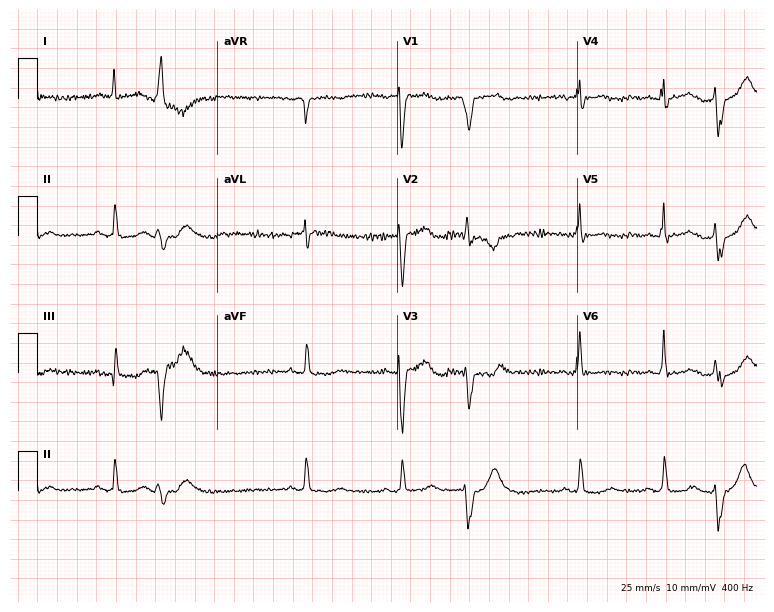
ECG — a female, 82 years old. Screened for six findings — first-degree AV block, right bundle branch block, left bundle branch block, sinus bradycardia, atrial fibrillation, sinus tachycardia — none is recorded. Other findings, if any, are not listed.